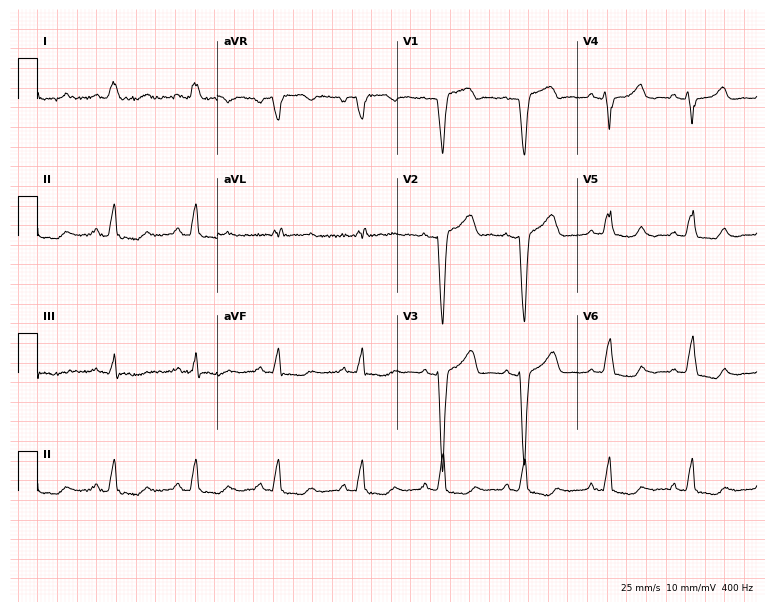
Resting 12-lead electrocardiogram (7.3-second recording at 400 Hz). Patient: a 74-year-old woman. None of these six findings is recorded: first-degree AV block, right bundle branch block, left bundle branch block, sinus bradycardia, atrial fibrillation, sinus tachycardia. Other findings, if any, are not listed.